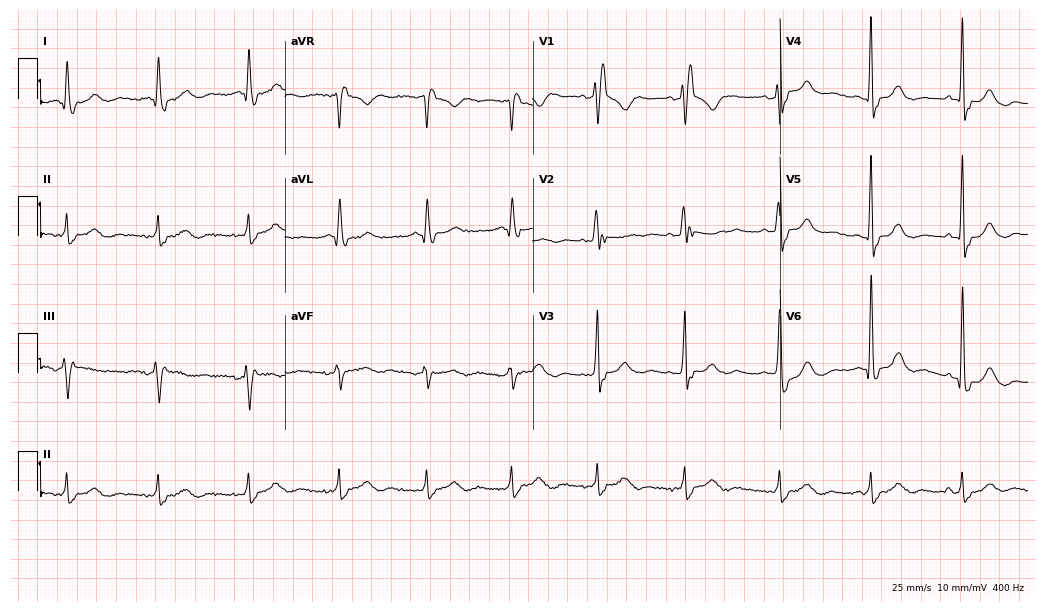
12-lead ECG from a male, 65 years old (10.1-second recording at 400 Hz). Shows right bundle branch block.